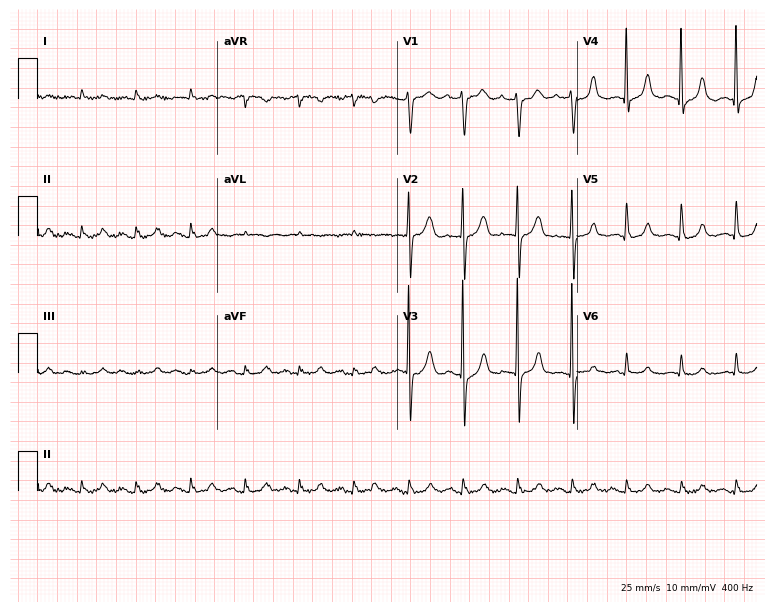
Standard 12-lead ECG recorded from an 84-year-old female patient (7.3-second recording at 400 Hz). The tracing shows sinus tachycardia (a sinus rate of 100 beats per minute or more).